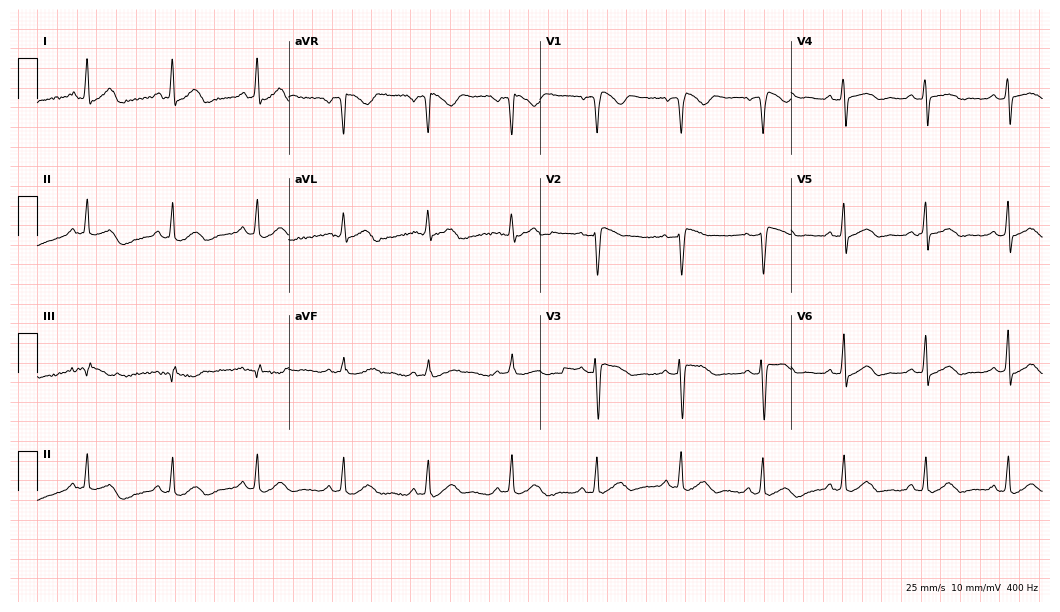
Standard 12-lead ECG recorded from a 58-year-old female. None of these six findings is recorded: first-degree AV block, right bundle branch block, left bundle branch block, sinus bradycardia, atrial fibrillation, sinus tachycardia. Other findings, if any, are not listed.